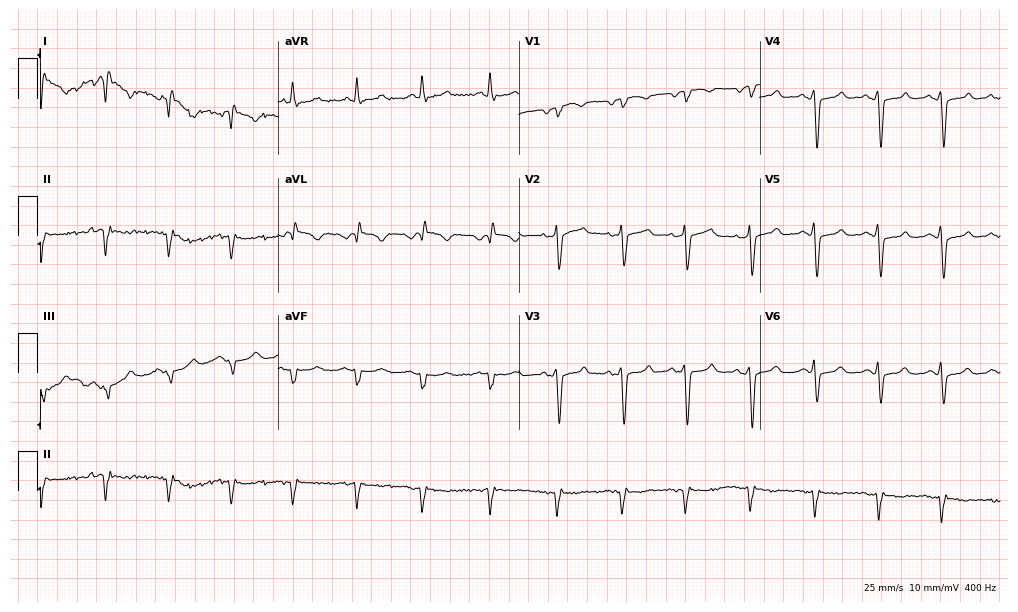
12-lead ECG from a 60-year-old man. Screened for six findings — first-degree AV block, right bundle branch block, left bundle branch block, sinus bradycardia, atrial fibrillation, sinus tachycardia — none is recorded.